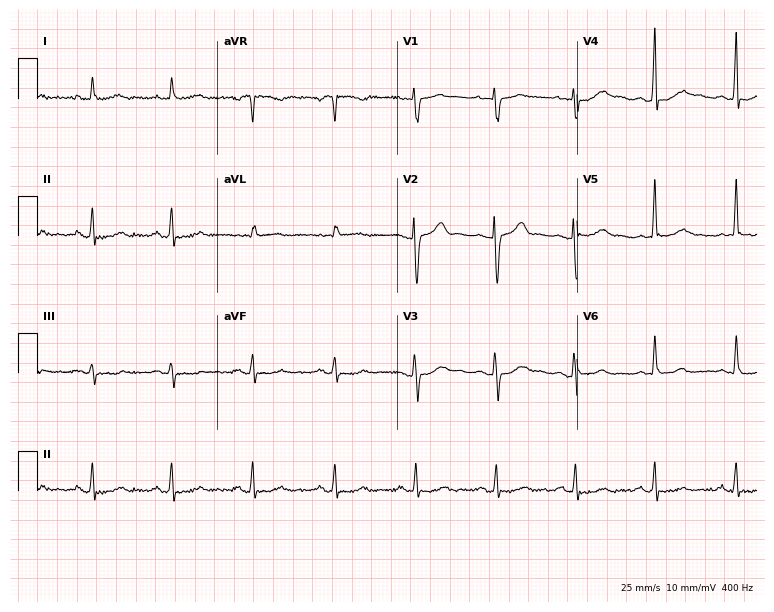
Standard 12-lead ECG recorded from a 60-year-old female. Read as a normal ECG.